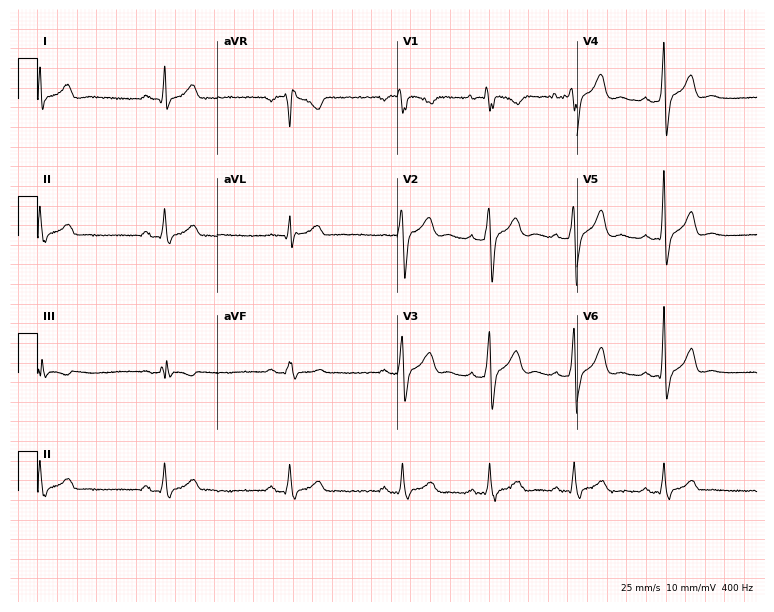
12-lead ECG from a 19-year-old male patient. Screened for six findings — first-degree AV block, right bundle branch block, left bundle branch block, sinus bradycardia, atrial fibrillation, sinus tachycardia — none is recorded.